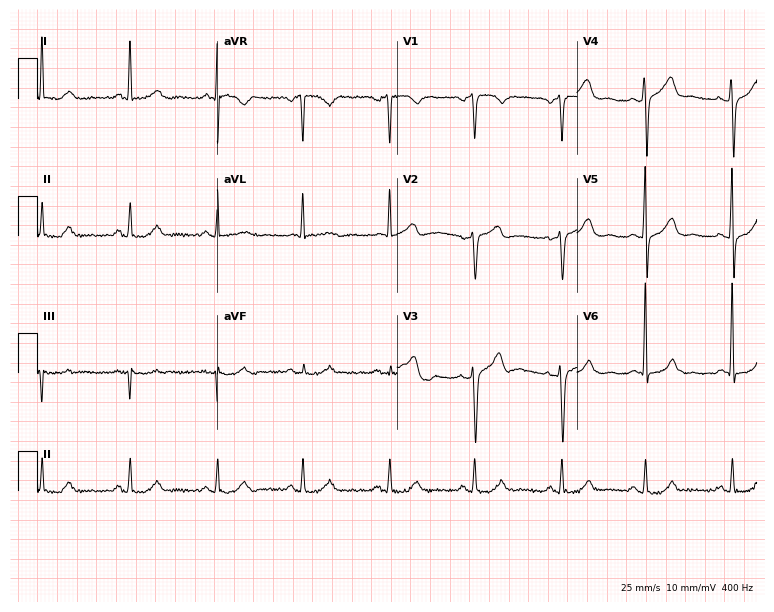
Resting 12-lead electrocardiogram. Patient: a man, 60 years old. Read as a normal ECG.